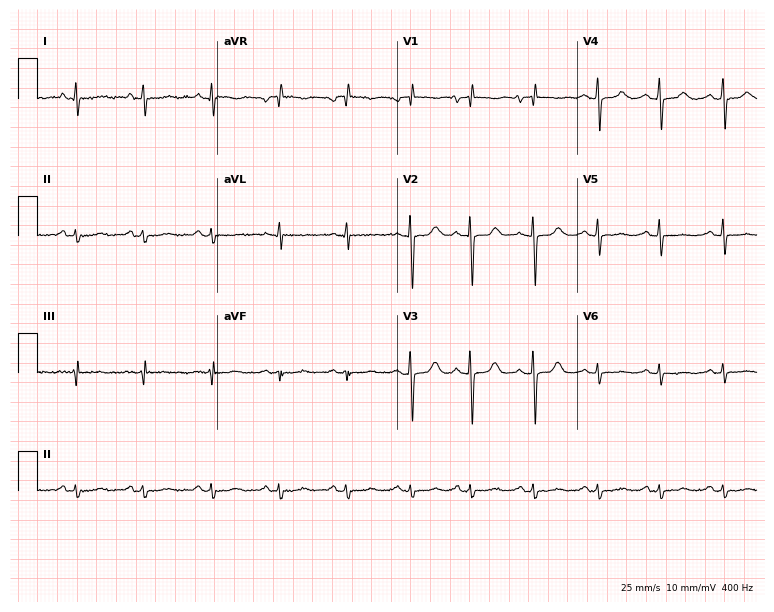
12-lead ECG from a 65-year-old woman (7.3-second recording at 400 Hz). No first-degree AV block, right bundle branch block, left bundle branch block, sinus bradycardia, atrial fibrillation or sinus tachycardia recorded for this tracing. Only these six findings were labelled.